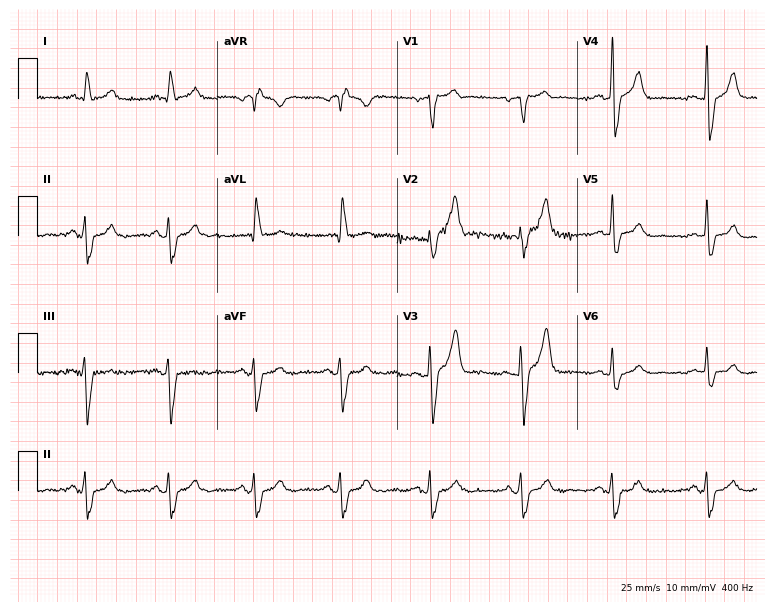
12-lead ECG (7.3-second recording at 400 Hz) from a 69-year-old male patient. Findings include left bundle branch block.